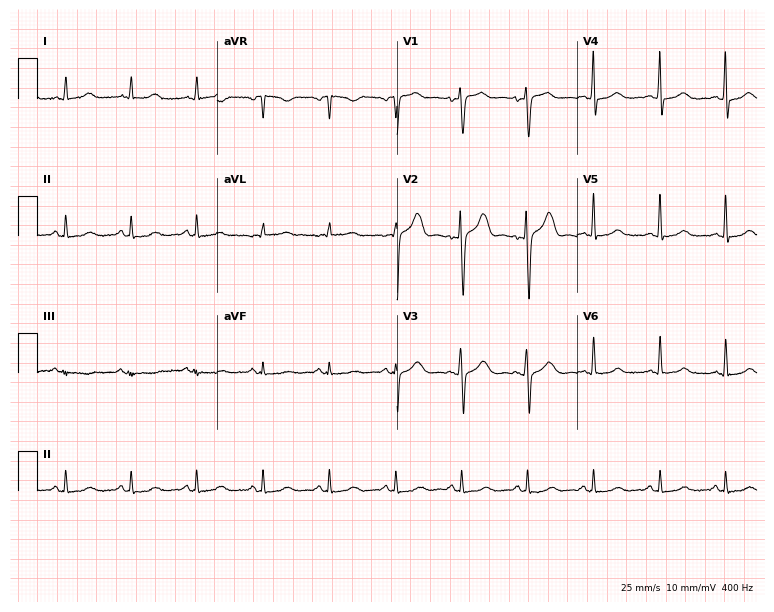
Resting 12-lead electrocardiogram (7.3-second recording at 400 Hz). Patient: a 55-year-old female. None of these six findings is recorded: first-degree AV block, right bundle branch block (RBBB), left bundle branch block (LBBB), sinus bradycardia, atrial fibrillation (AF), sinus tachycardia.